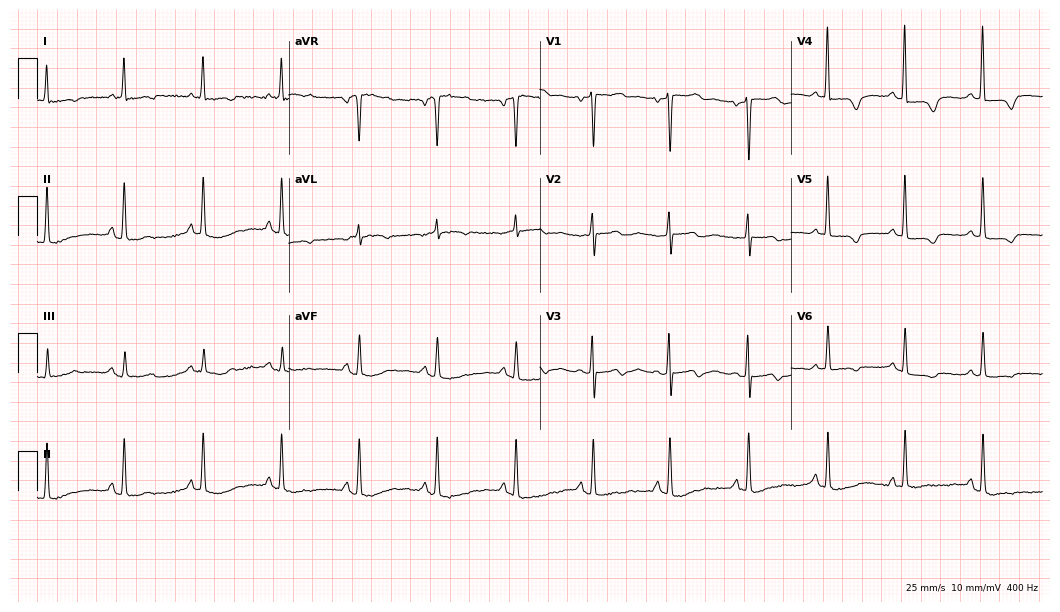
Electrocardiogram (10.2-second recording at 400 Hz), a female patient, 70 years old. Of the six screened findings (first-degree AV block, right bundle branch block (RBBB), left bundle branch block (LBBB), sinus bradycardia, atrial fibrillation (AF), sinus tachycardia), none is recorded. Other findings, if any, are not listed.